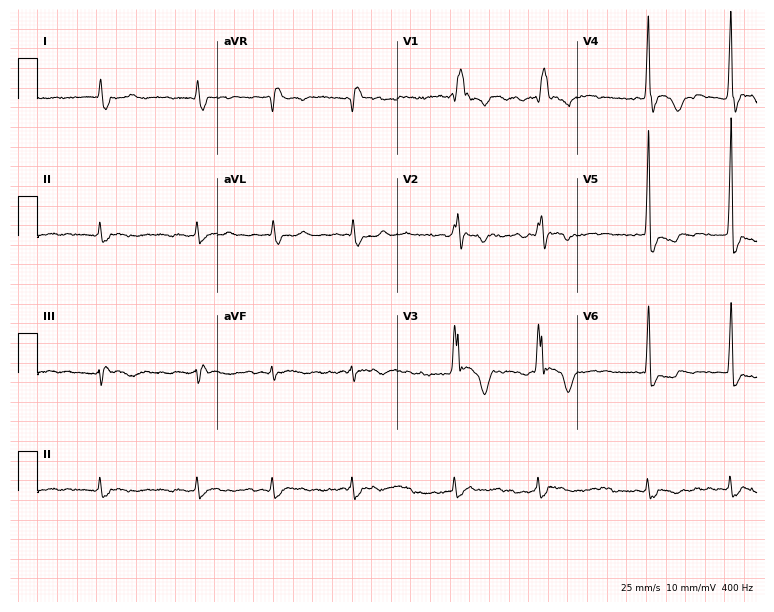
Resting 12-lead electrocardiogram (7.3-second recording at 400 Hz). Patient: a 77-year-old male. The tracing shows right bundle branch block (RBBB), atrial fibrillation (AF).